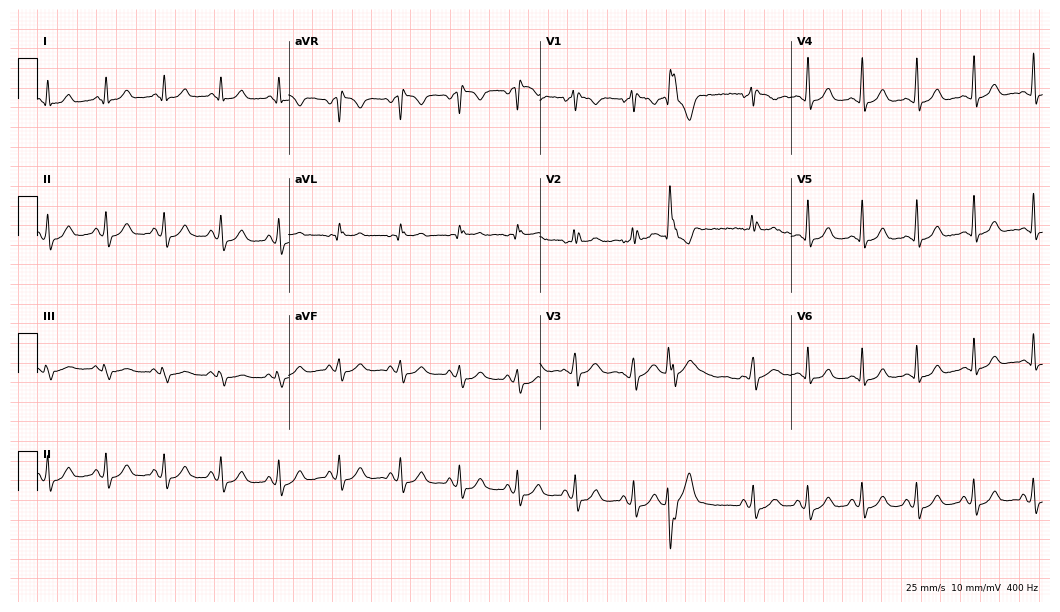
Resting 12-lead electrocardiogram. Patient: a female, 41 years old. The tracing shows sinus tachycardia (a sinus rate of 100 beats per minute or more).